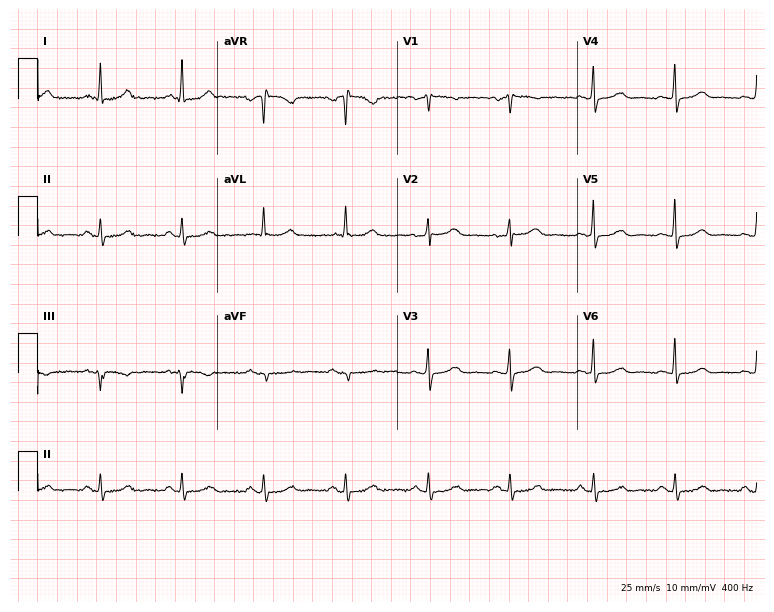
Standard 12-lead ECG recorded from a 55-year-old female patient. Read as a normal ECG.